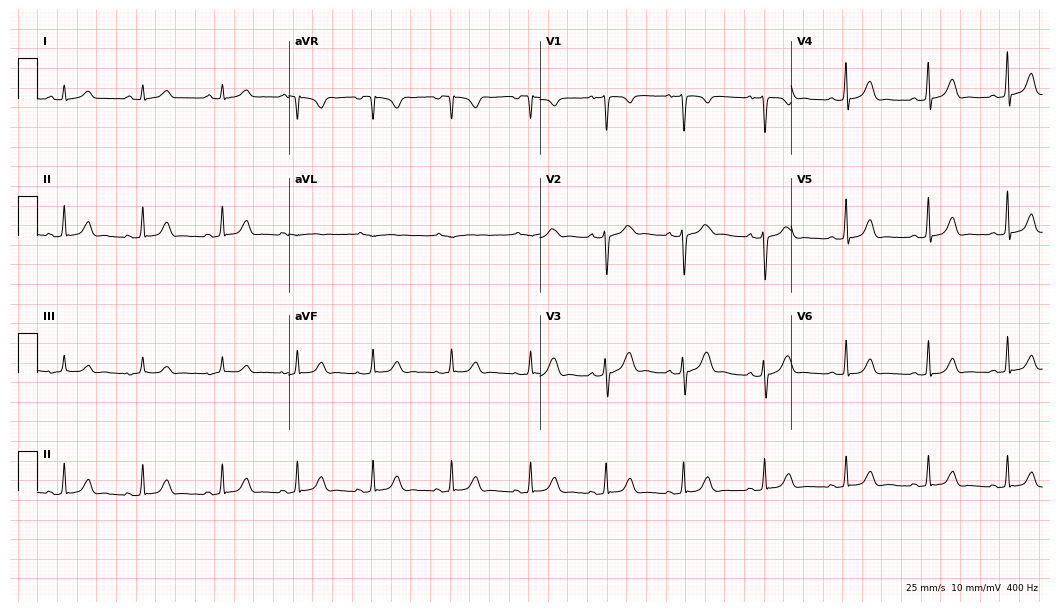
12-lead ECG from a female patient, 22 years old. Labelled as a normal ECG.